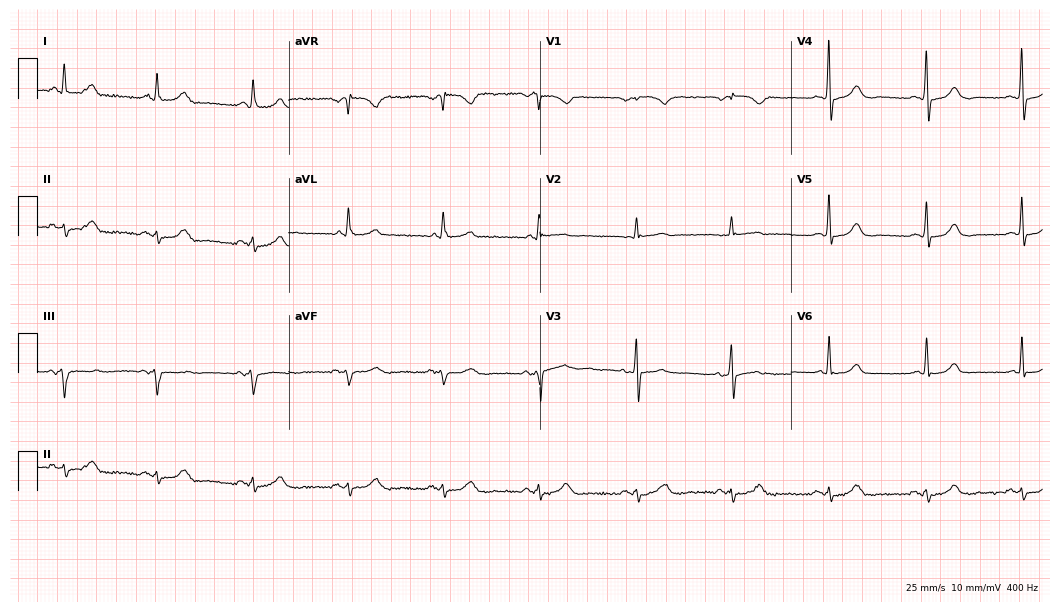
12-lead ECG (10.2-second recording at 400 Hz) from a woman, 77 years old. Labelled as a normal ECG.